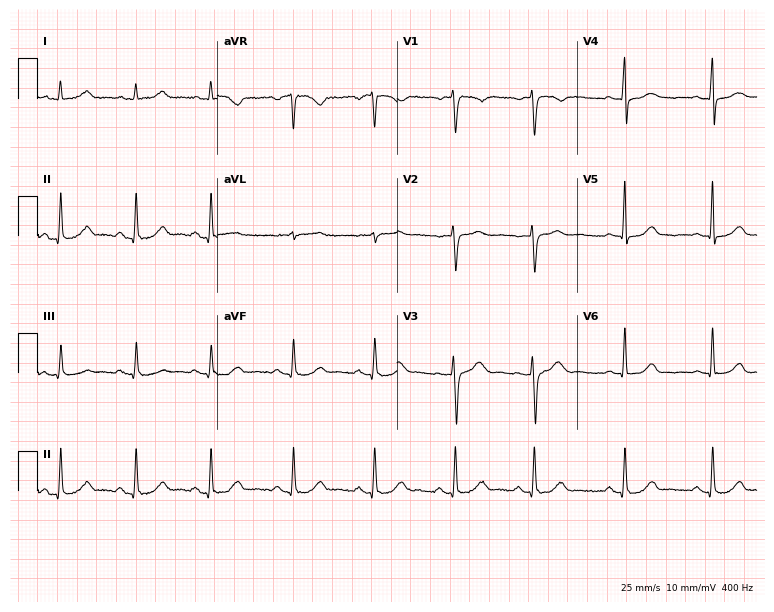
ECG (7.3-second recording at 400 Hz) — a female patient, 42 years old. Labelled as a normal ECG.